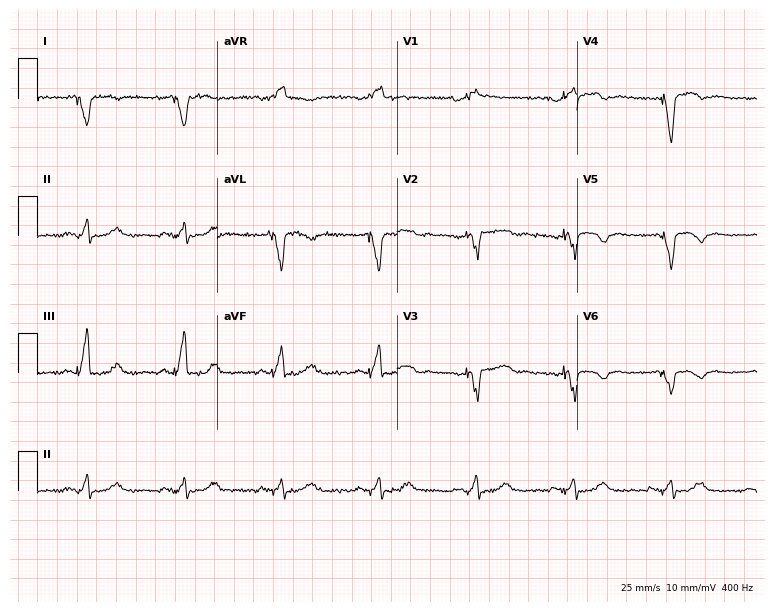
12-lead ECG from a man, 71 years old. Screened for six findings — first-degree AV block, right bundle branch block, left bundle branch block, sinus bradycardia, atrial fibrillation, sinus tachycardia — none is recorded.